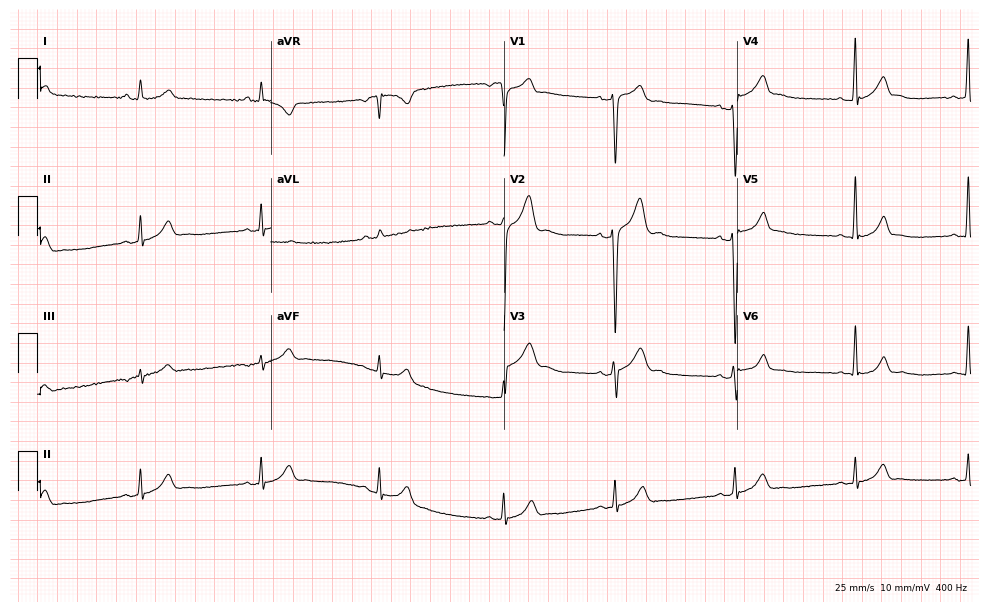
12-lead ECG from a 23-year-old man (9.5-second recording at 400 Hz). Shows sinus bradycardia (a sinus rate of 50 beats per minute or less).